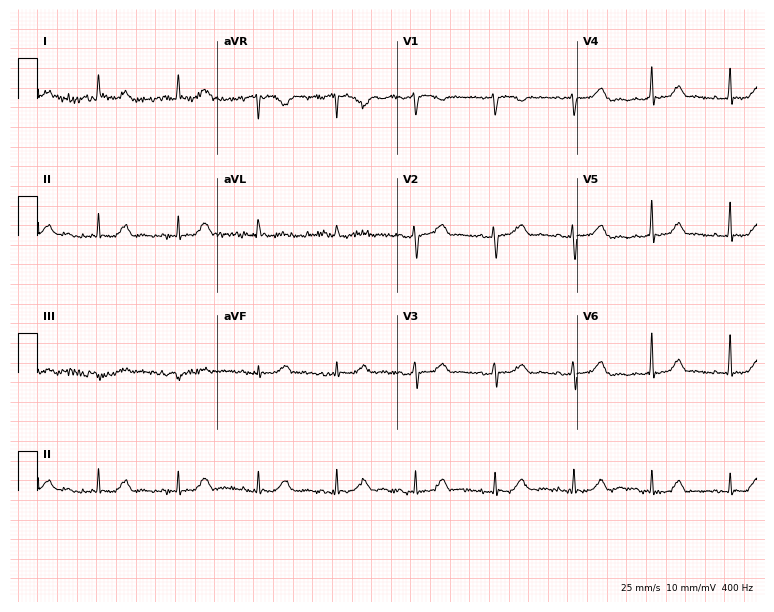
ECG (7.3-second recording at 400 Hz) — a woman, 77 years old. Labelled as a normal ECG.